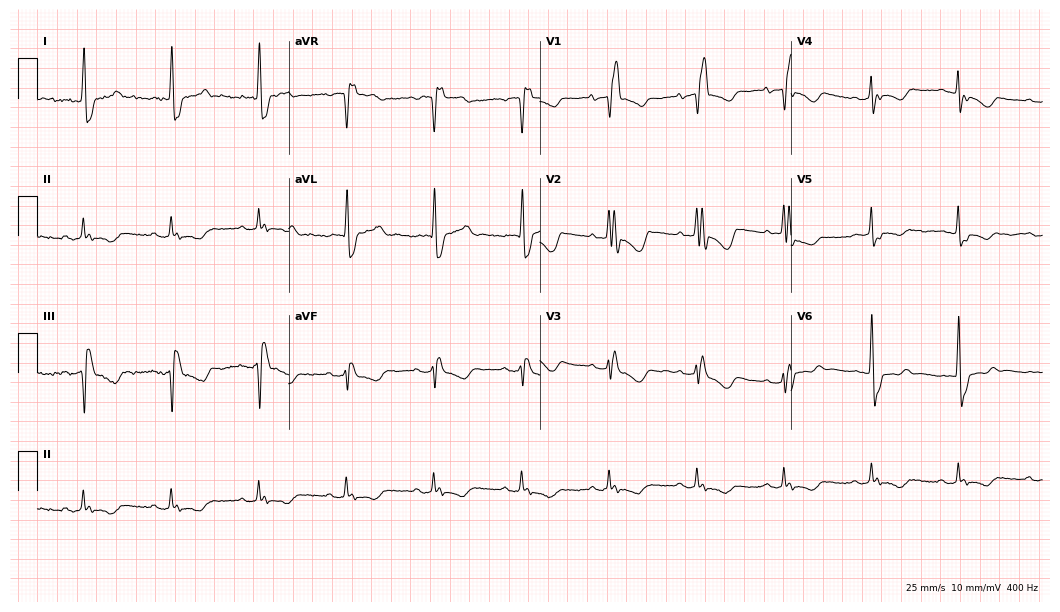
12-lead ECG from a female, 83 years old. Shows right bundle branch block.